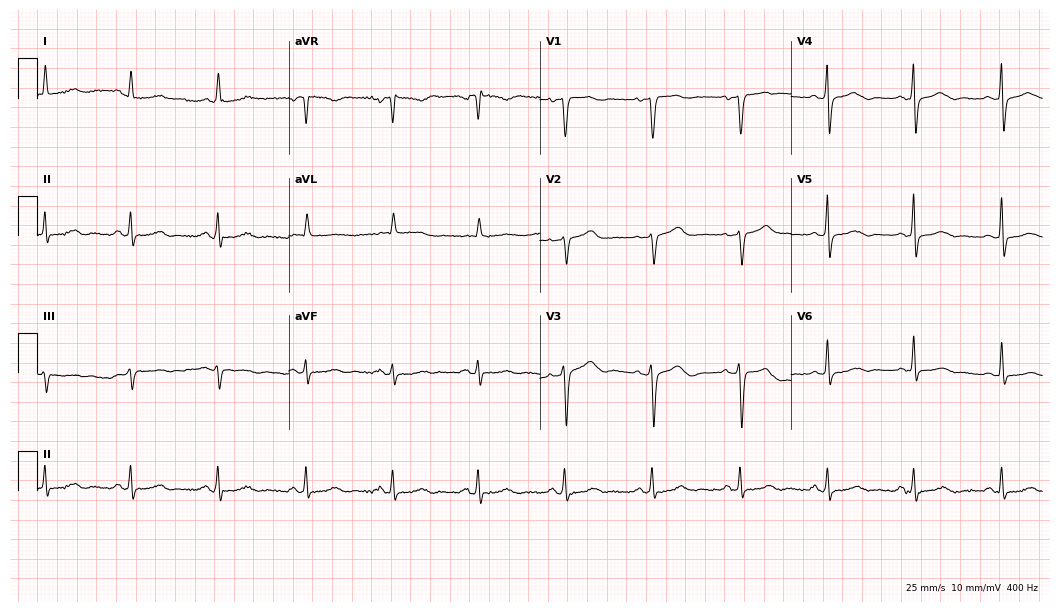
Resting 12-lead electrocardiogram. Patient: a 66-year-old female. Read as a normal ECG.